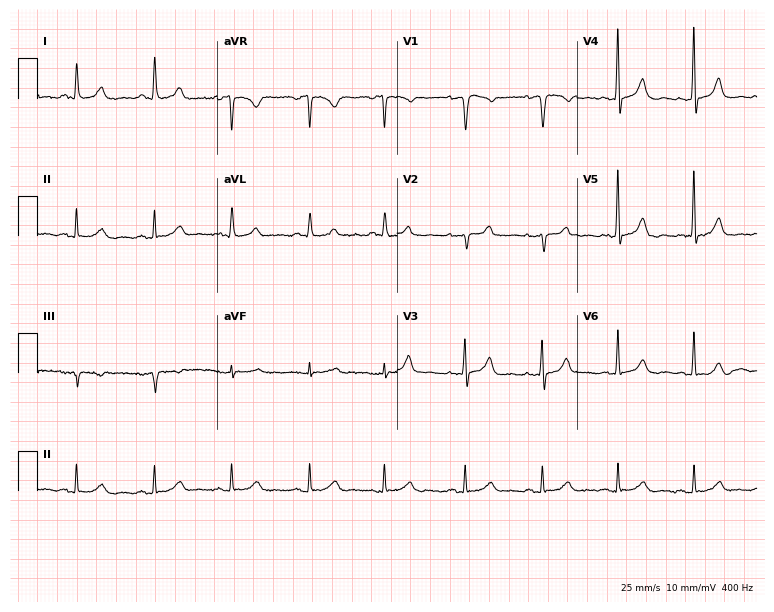
ECG (7.3-second recording at 400 Hz) — a woman, 67 years old. Labelled as a normal ECG.